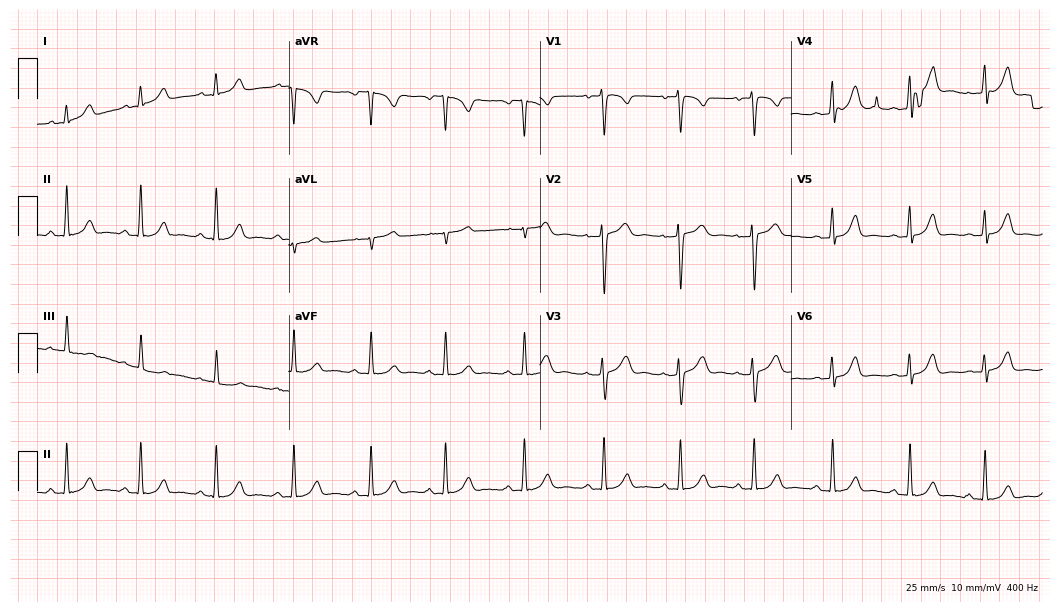
12-lead ECG from a 24-year-old female patient. Labelled as a normal ECG.